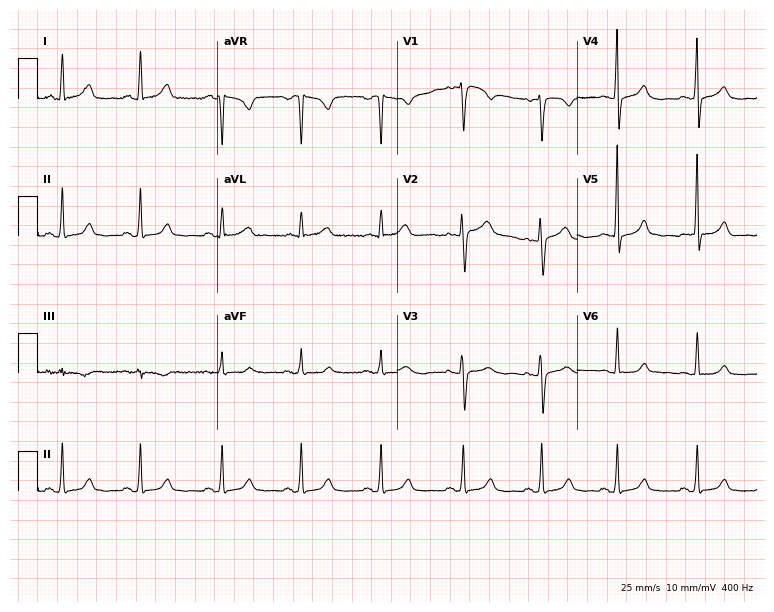
Standard 12-lead ECG recorded from a female, 40 years old. Read as a normal ECG.